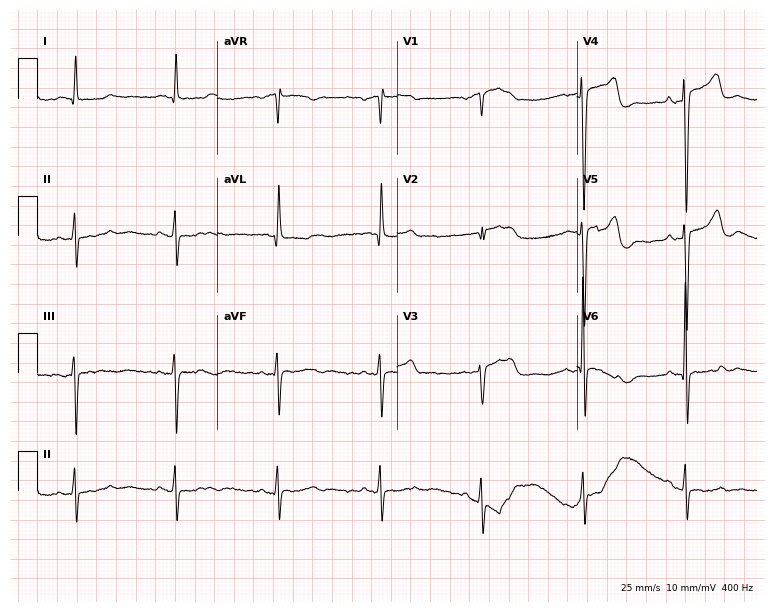
12-lead ECG from a female, 76 years old. No first-degree AV block, right bundle branch block, left bundle branch block, sinus bradycardia, atrial fibrillation or sinus tachycardia recorded for this tracing.